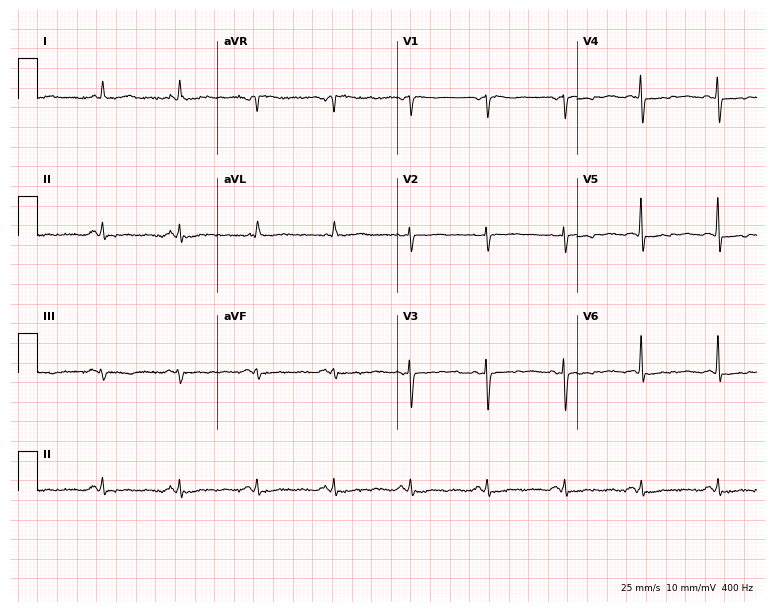
12-lead ECG (7.3-second recording at 400 Hz) from a female, 85 years old. Screened for six findings — first-degree AV block, right bundle branch block, left bundle branch block, sinus bradycardia, atrial fibrillation, sinus tachycardia — none is recorded. Findings outside these six are not listed.